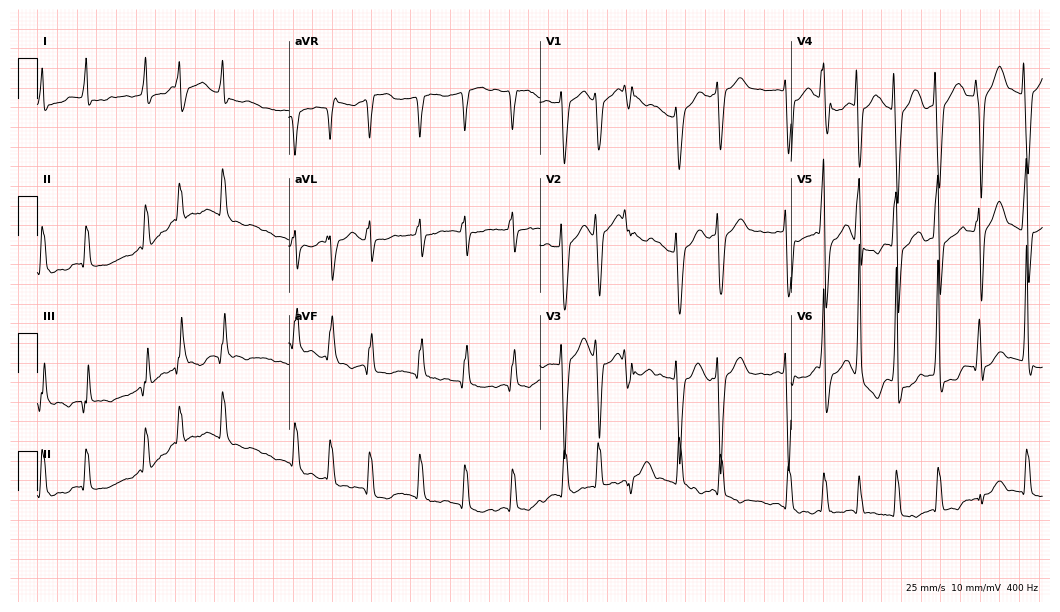
12-lead ECG from a woman, 70 years old (10.2-second recording at 400 Hz). Shows atrial fibrillation (AF).